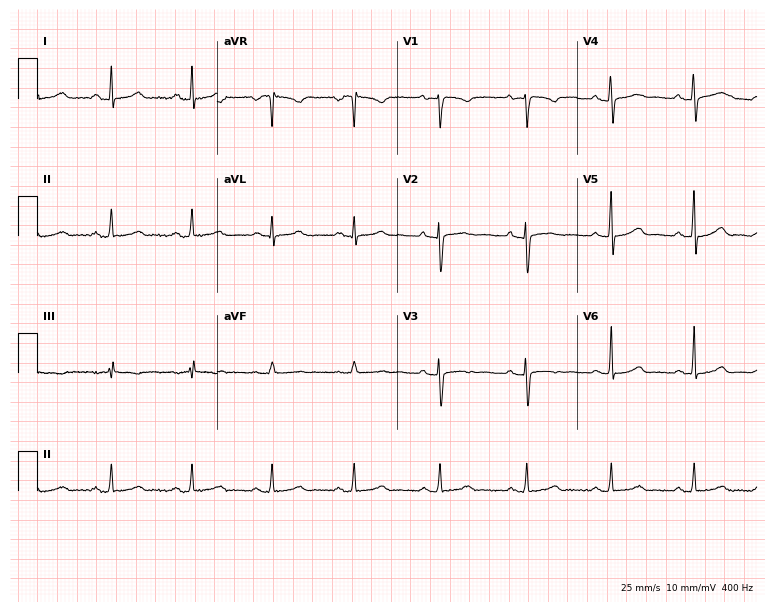
Standard 12-lead ECG recorded from a 36-year-old female patient (7.3-second recording at 400 Hz). Read as a normal ECG.